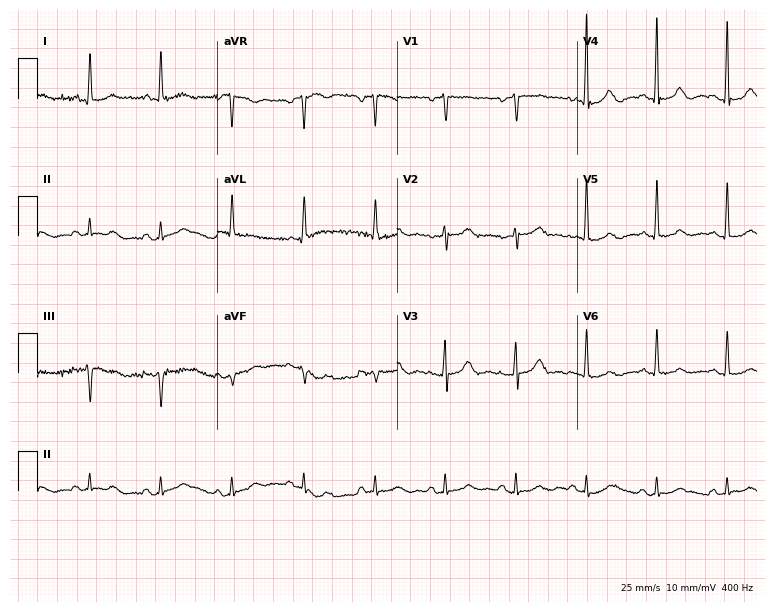
Standard 12-lead ECG recorded from an 80-year-old female patient. None of these six findings is recorded: first-degree AV block, right bundle branch block (RBBB), left bundle branch block (LBBB), sinus bradycardia, atrial fibrillation (AF), sinus tachycardia. Other findings, if any, are not listed.